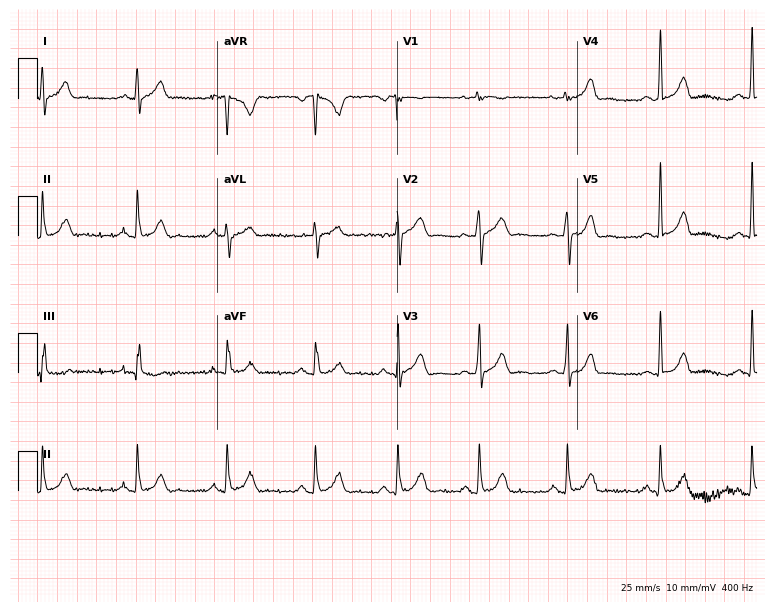
Electrocardiogram (7.3-second recording at 400 Hz), a man, 24 years old. Of the six screened findings (first-degree AV block, right bundle branch block (RBBB), left bundle branch block (LBBB), sinus bradycardia, atrial fibrillation (AF), sinus tachycardia), none is recorded.